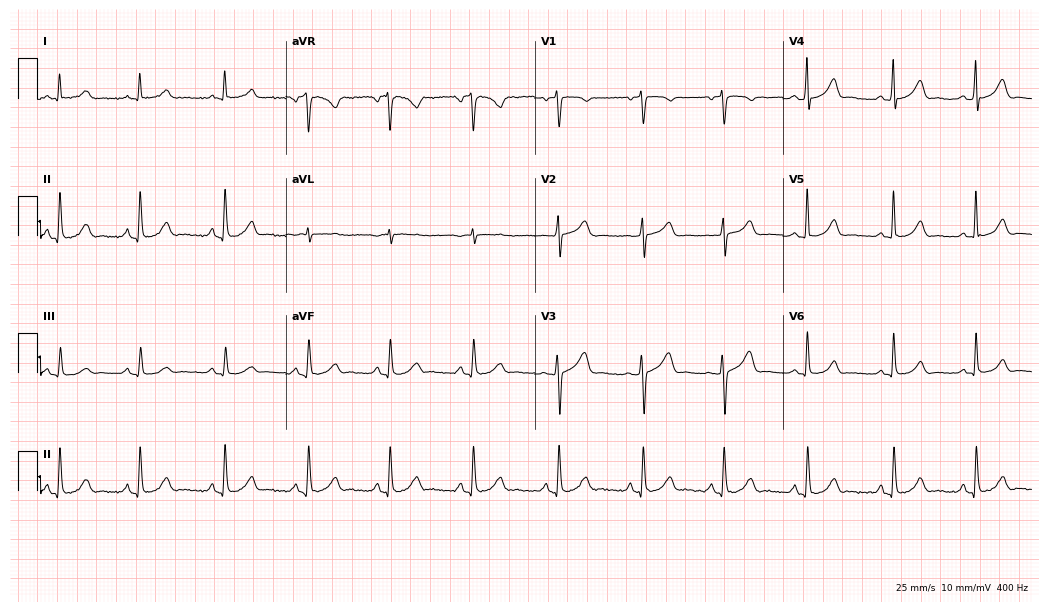
12-lead ECG from a female patient, 60 years old (10.1-second recording at 400 Hz). Recorded interpretation: within normal limits.